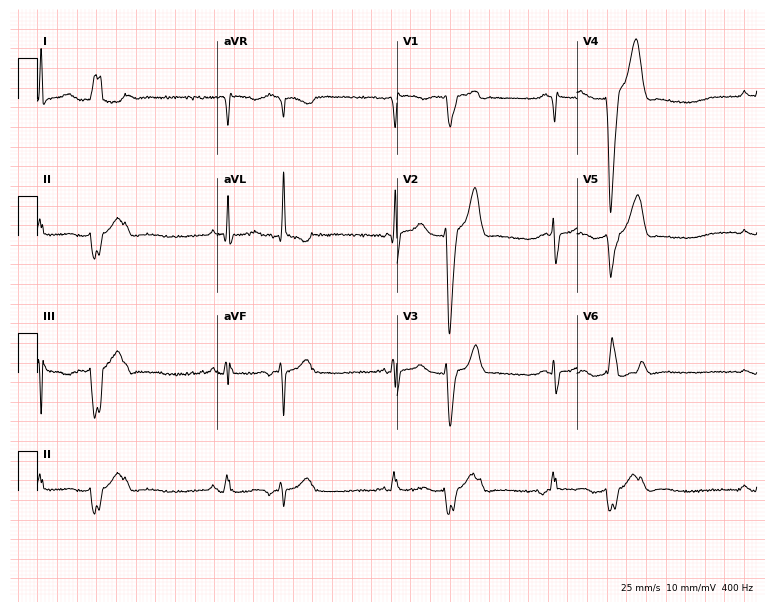
12-lead ECG from a 76-year-old male patient. Screened for six findings — first-degree AV block, right bundle branch block, left bundle branch block, sinus bradycardia, atrial fibrillation, sinus tachycardia — none is recorded. Other findings, if any, are not listed.